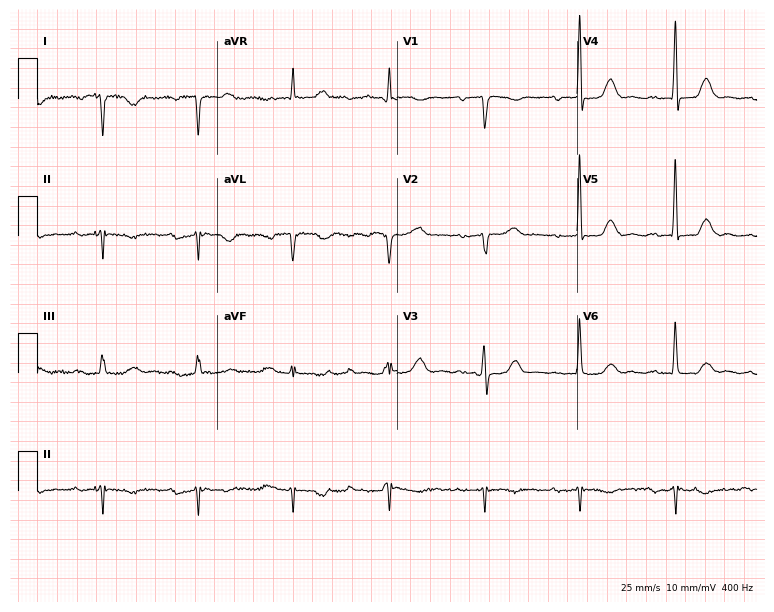
12-lead ECG from an 84-year-old man (7.3-second recording at 400 Hz). No first-degree AV block, right bundle branch block, left bundle branch block, sinus bradycardia, atrial fibrillation or sinus tachycardia recorded for this tracing.